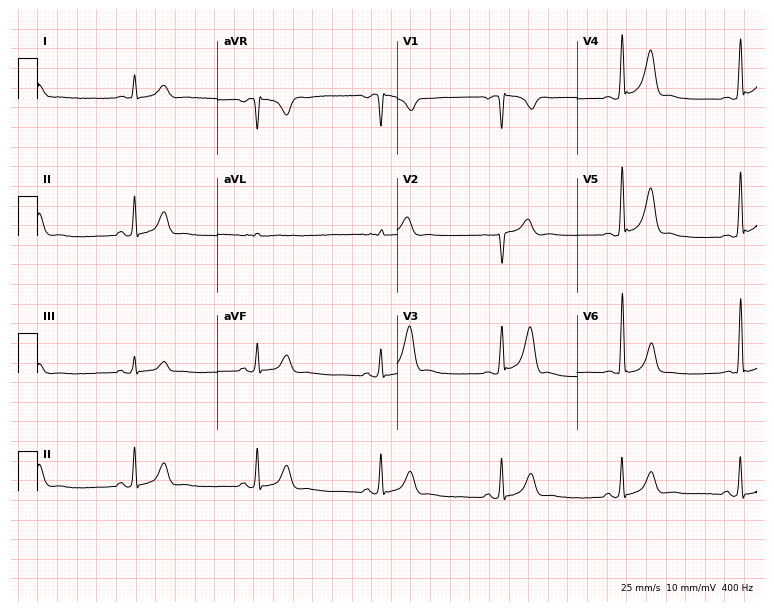
Standard 12-lead ECG recorded from a 45-year-old male. None of these six findings is recorded: first-degree AV block, right bundle branch block, left bundle branch block, sinus bradycardia, atrial fibrillation, sinus tachycardia. Only these six findings were labelled.